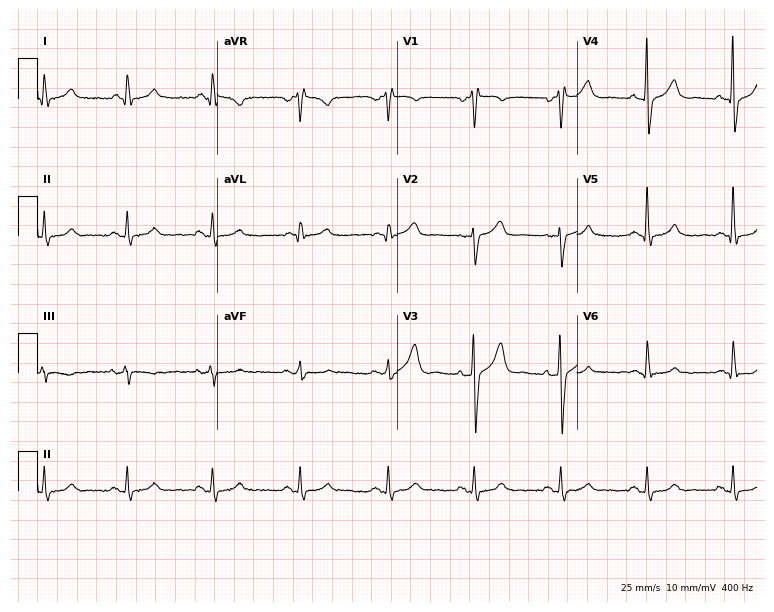
Standard 12-lead ECG recorded from a 50-year-old man. None of these six findings is recorded: first-degree AV block, right bundle branch block, left bundle branch block, sinus bradycardia, atrial fibrillation, sinus tachycardia.